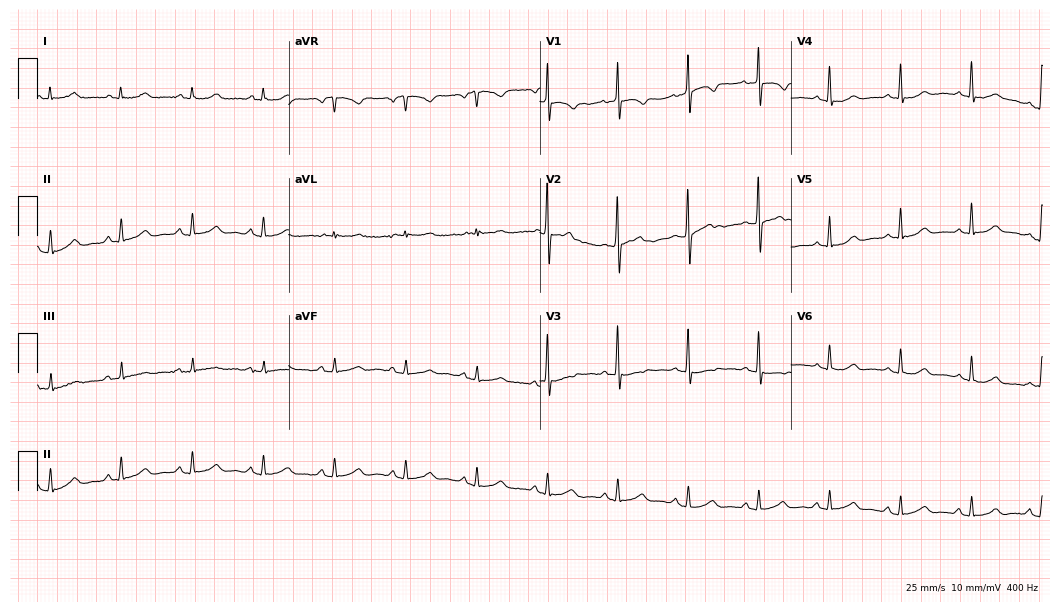
Resting 12-lead electrocardiogram (10.2-second recording at 400 Hz). Patient: a female, 85 years old. None of these six findings is recorded: first-degree AV block, right bundle branch block, left bundle branch block, sinus bradycardia, atrial fibrillation, sinus tachycardia.